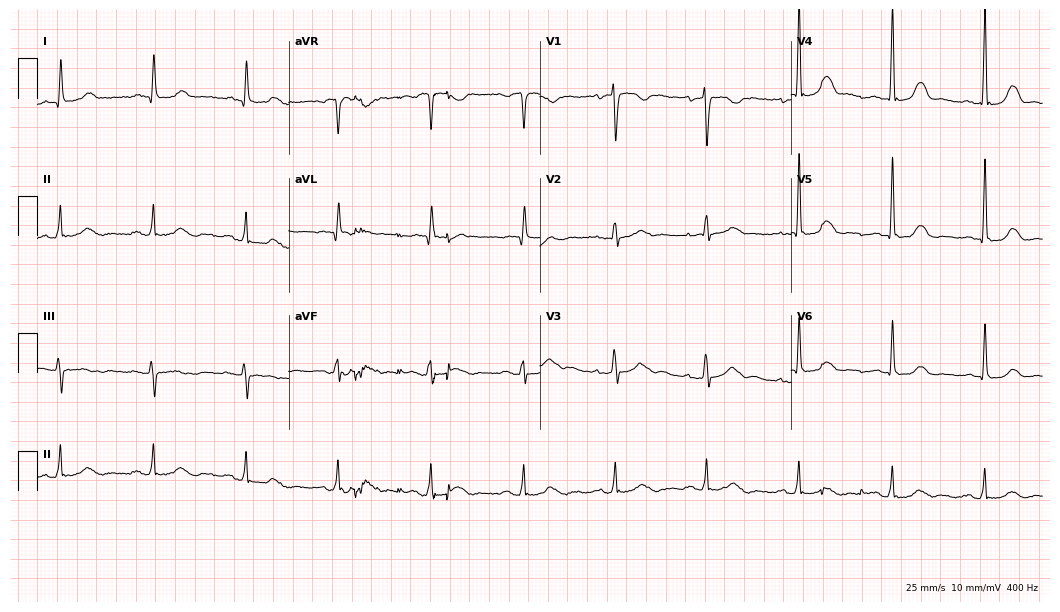
12-lead ECG (10.2-second recording at 400 Hz) from a female patient, 58 years old. Labelled as a normal ECG.